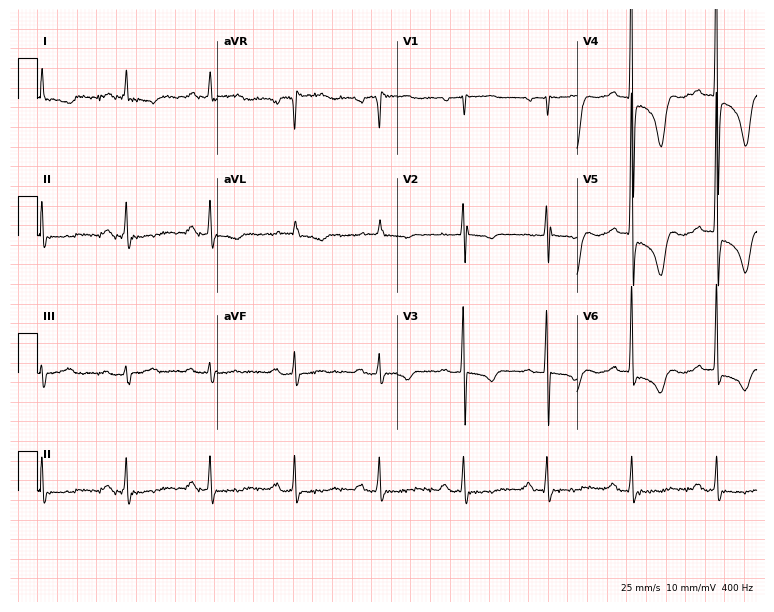
12-lead ECG (7.3-second recording at 400 Hz) from a female, 76 years old. Findings include first-degree AV block.